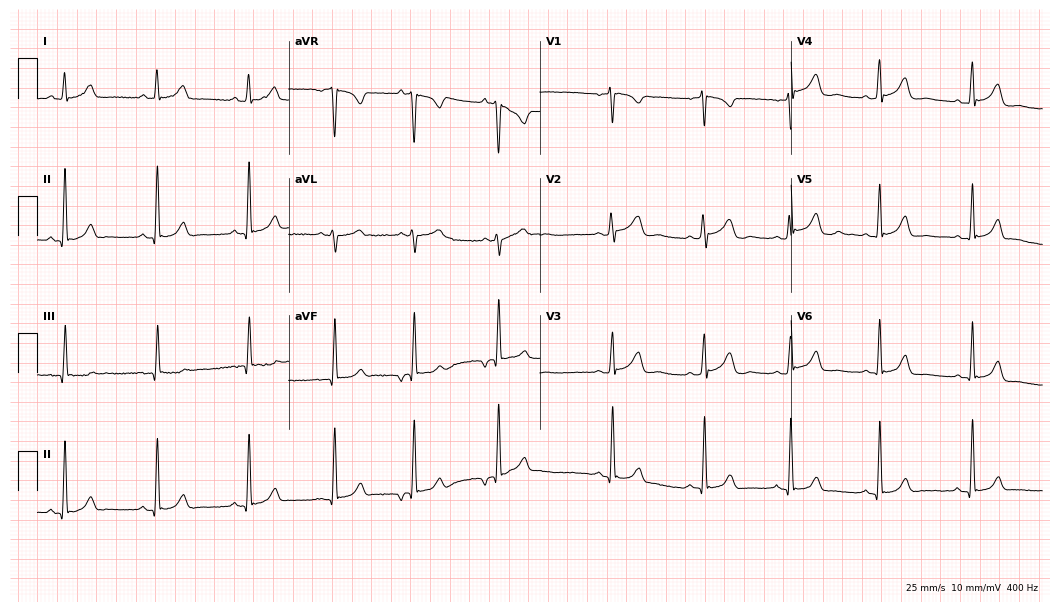
ECG (10.2-second recording at 400 Hz) — a female, 28 years old. Labelled as a normal ECG.